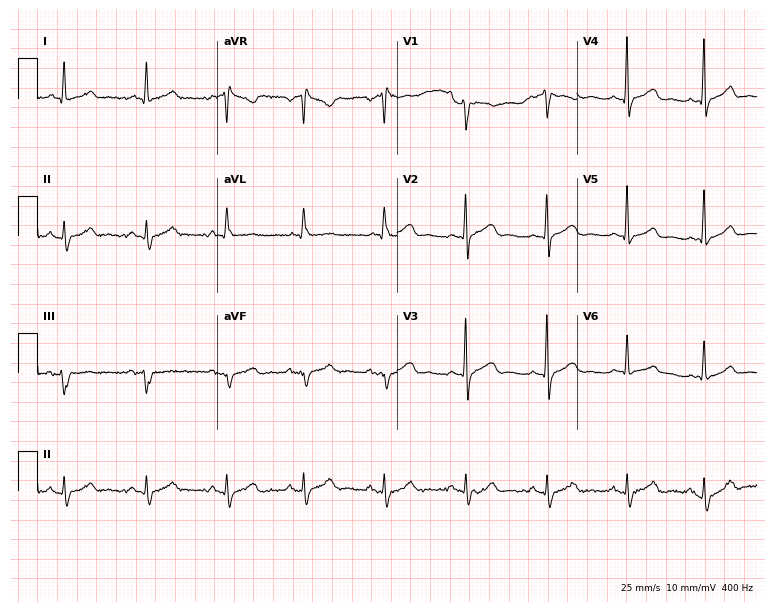
ECG — a 56-year-old female. Labelled as a normal ECG.